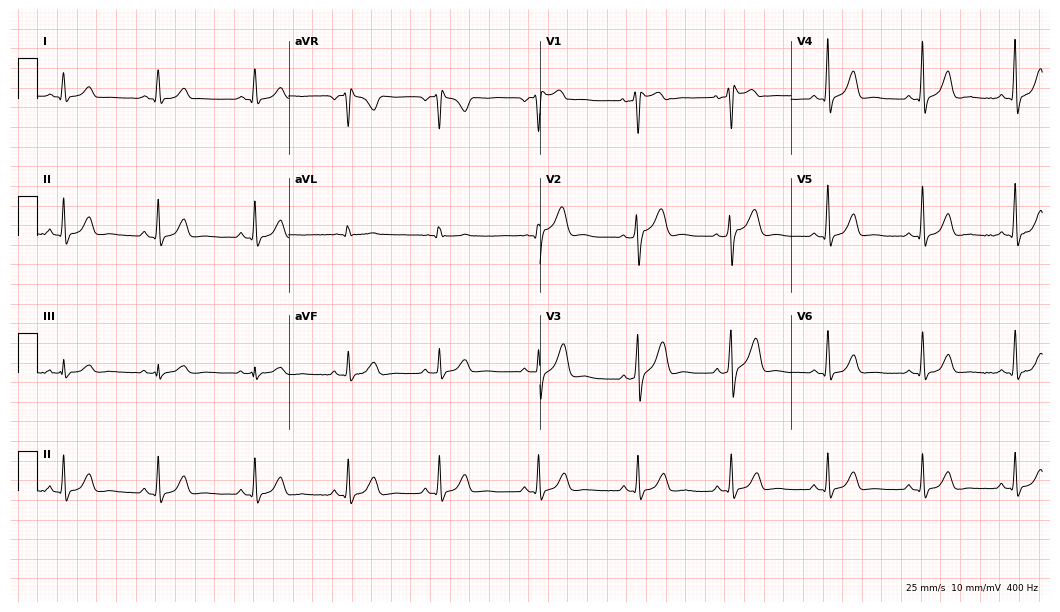
Electrocardiogram, a 46-year-old man. Of the six screened findings (first-degree AV block, right bundle branch block (RBBB), left bundle branch block (LBBB), sinus bradycardia, atrial fibrillation (AF), sinus tachycardia), none is recorded. Other findings, if any, are not listed.